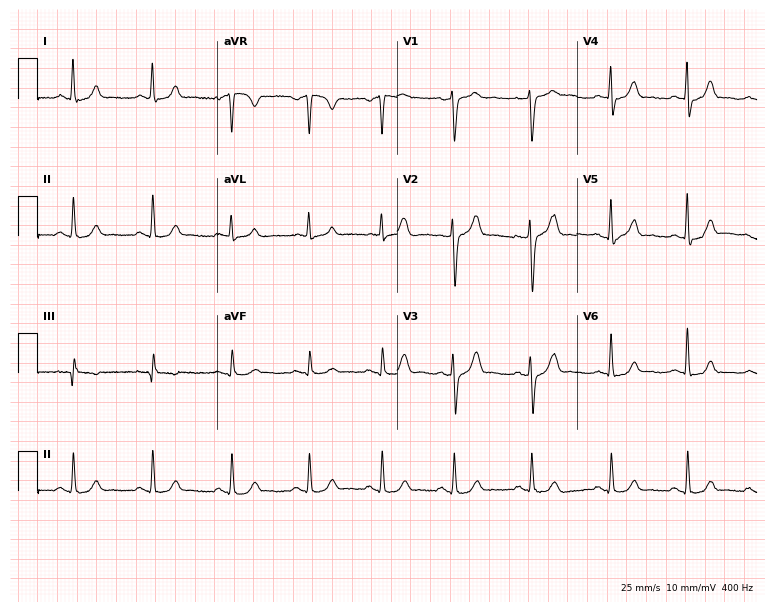
12-lead ECG from a 35-year-old male patient (7.3-second recording at 400 Hz). Recorded interpretation: within normal limits.